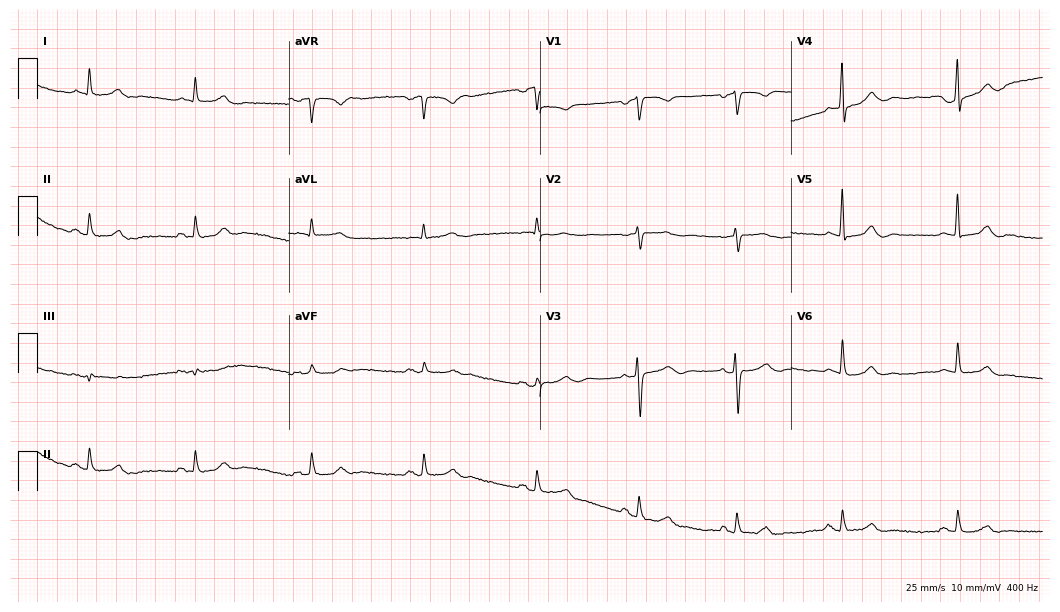
12-lead ECG from a 53-year-old man. Screened for six findings — first-degree AV block, right bundle branch block, left bundle branch block, sinus bradycardia, atrial fibrillation, sinus tachycardia — none is recorded.